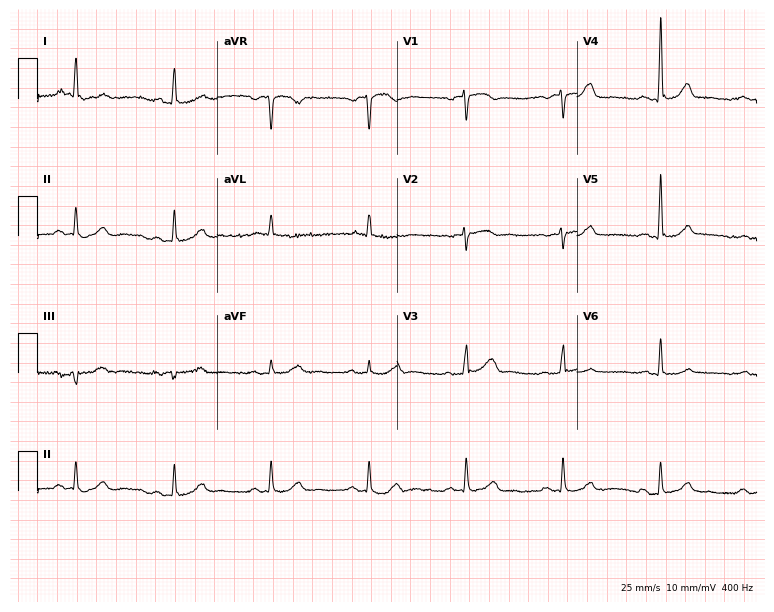
Electrocardiogram, a 76-year-old female. Of the six screened findings (first-degree AV block, right bundle branch block, left bundle branch block, sinus bradycardia, atrial fibrillation, sinus tachycardia), none is recorded. Only these six findings were labelled.